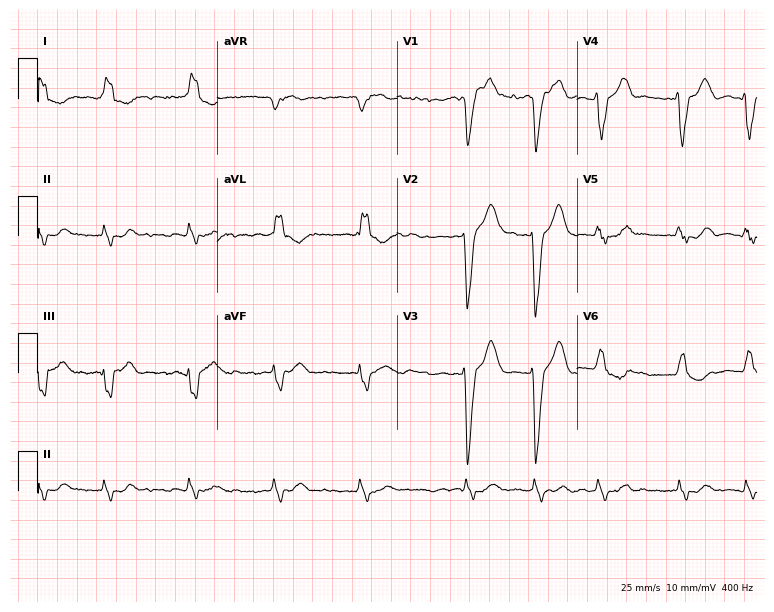
Standard 12-lead ECG recorded from an 83-year-old female (7.3-second recording at 400 Hz). The tracing shows left bundle branch block, atrial fibrillation.